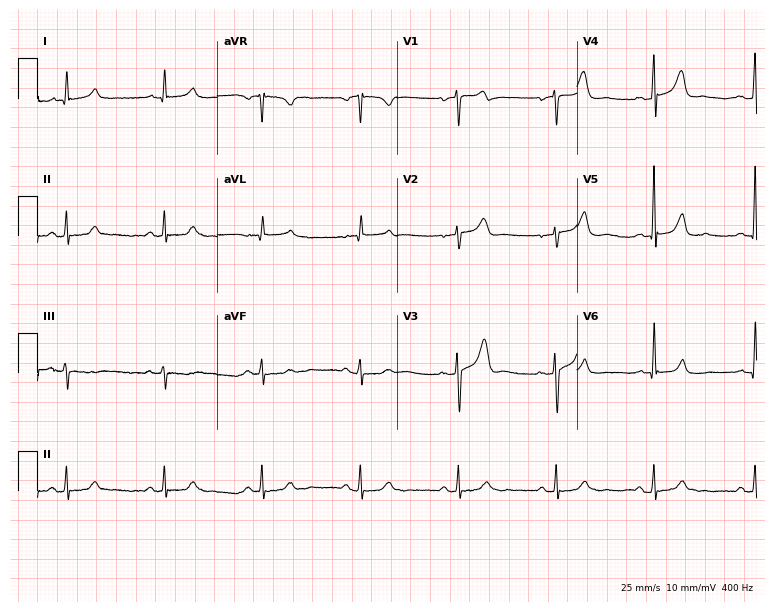
ECG — a male patient, 76 years old. Labelled as a normal ECG.